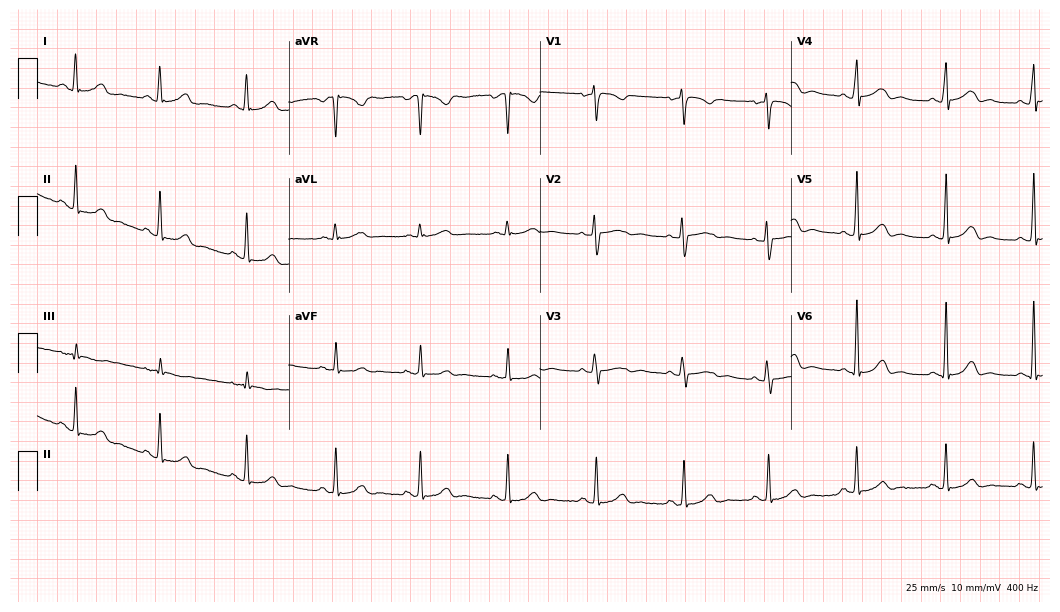
12-lead ECG (10.2-second recording at 400 Hz) from a female patient, 28 years old. Screened for six findings — first-degree AV block, right bundle branch block, left bundle branch block, sinus bradycardia, atrial fibrillation, sinus tachycardia — none is recorded. Other findings, if any, are not listed.